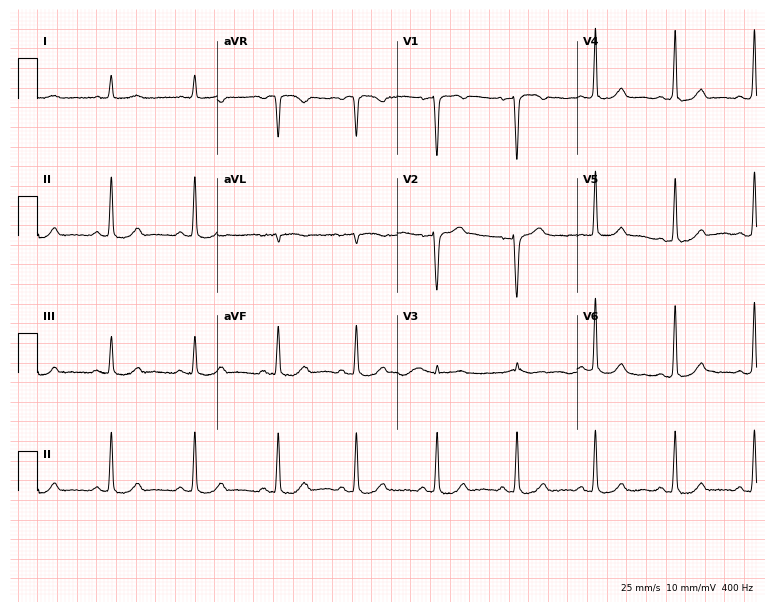
Resting 12-lead electrocardiogram. Patient: a woman, 62 years old. Read as a normal ECG.